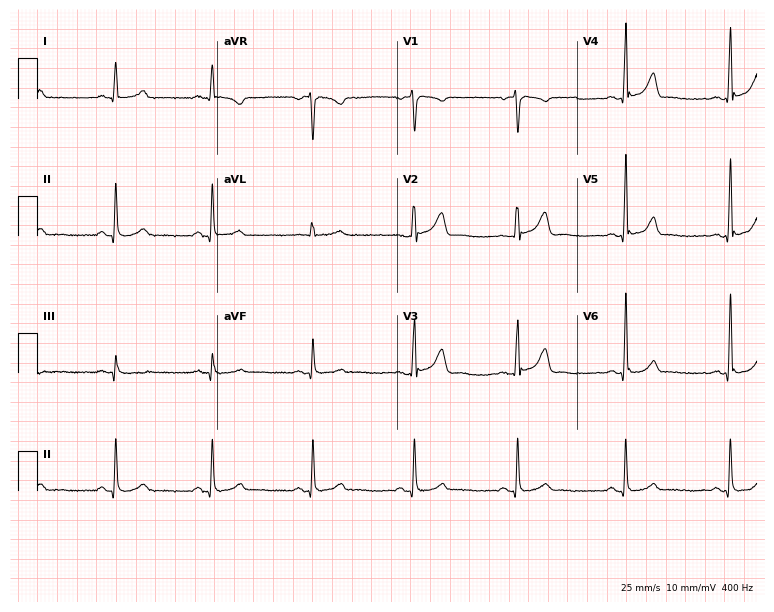
ECG — a 44-year-old female patient. Labelled as a normal ECG.